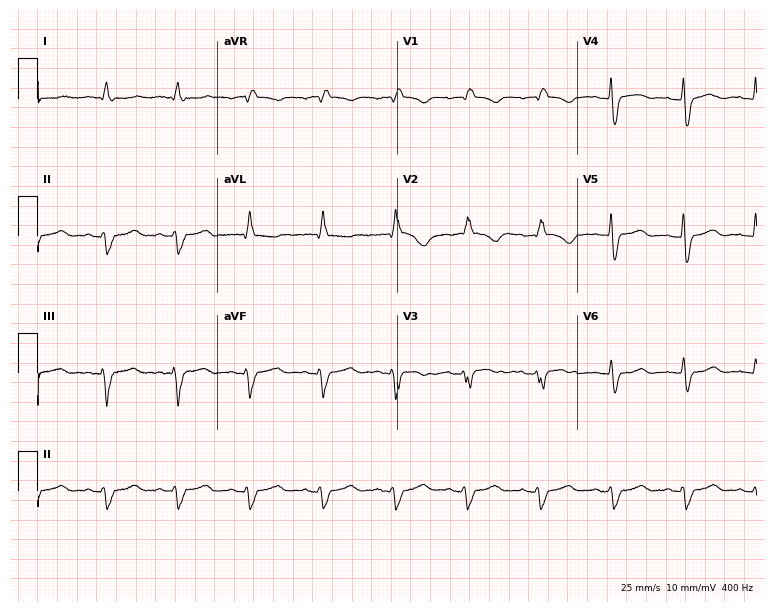
12-lead ECG from a 58-year-old female patient. Findings include right bundle branch block (RBBB).